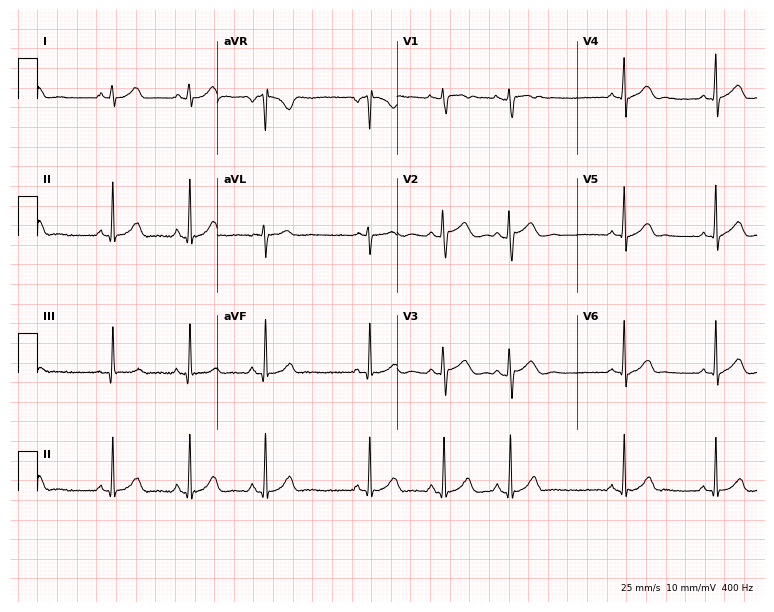
Standard 12-lead ECG recorded from a woman, 17 years old (7.3-second recording at 400 Hz). None of these six findings is recorded: first-degree AV block, right bundle branch block, left bundle branch block, sinus bradycardia, atrial fibrillation, sinus tachycardia. Other findings, if any, are not listed.